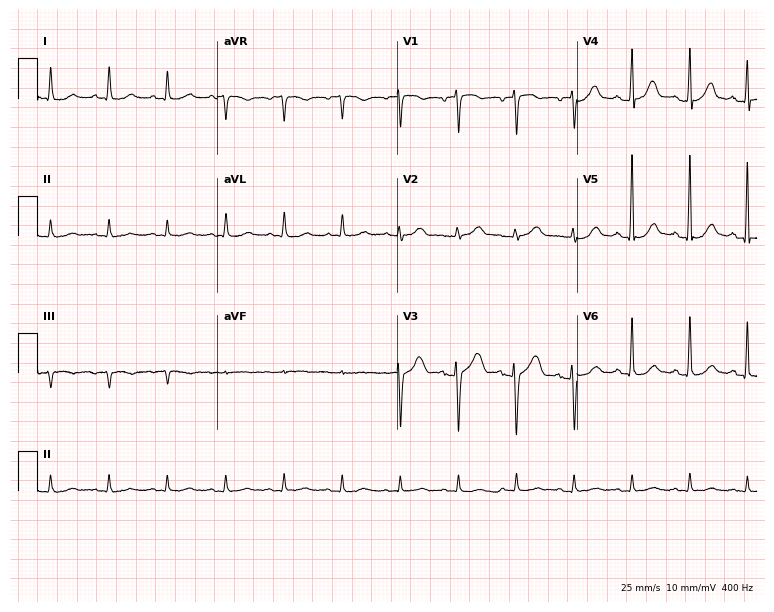
Resting 12-lead electrocardiogram. Patient: a female, 76 years old. The tracing shows sinus tachycardia (a sinus rate of 100 beats per minute or more).